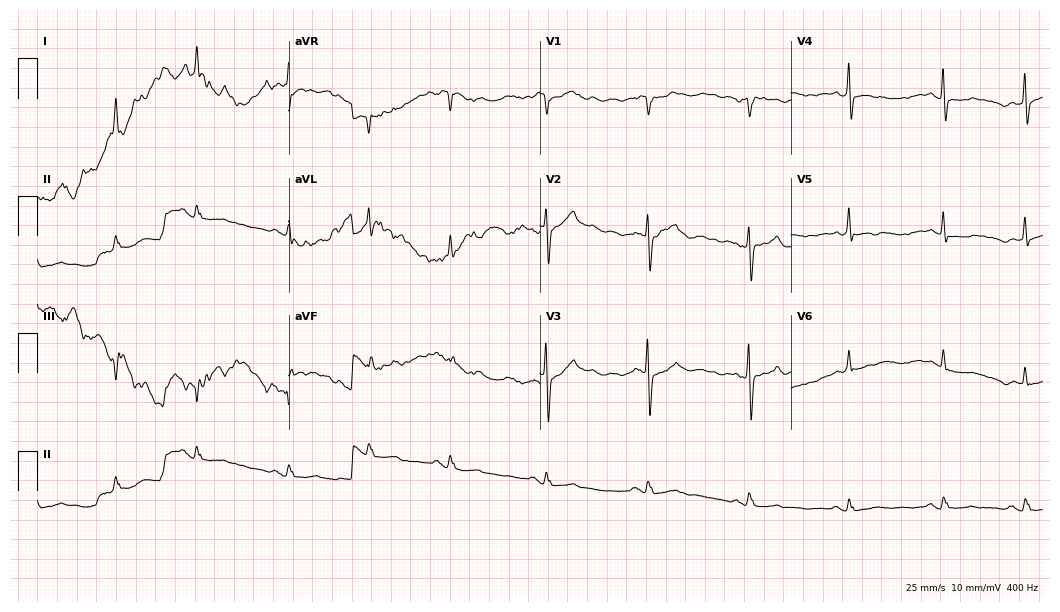
ECG — a 74-year-old man. Findings include atrial fibrillation.